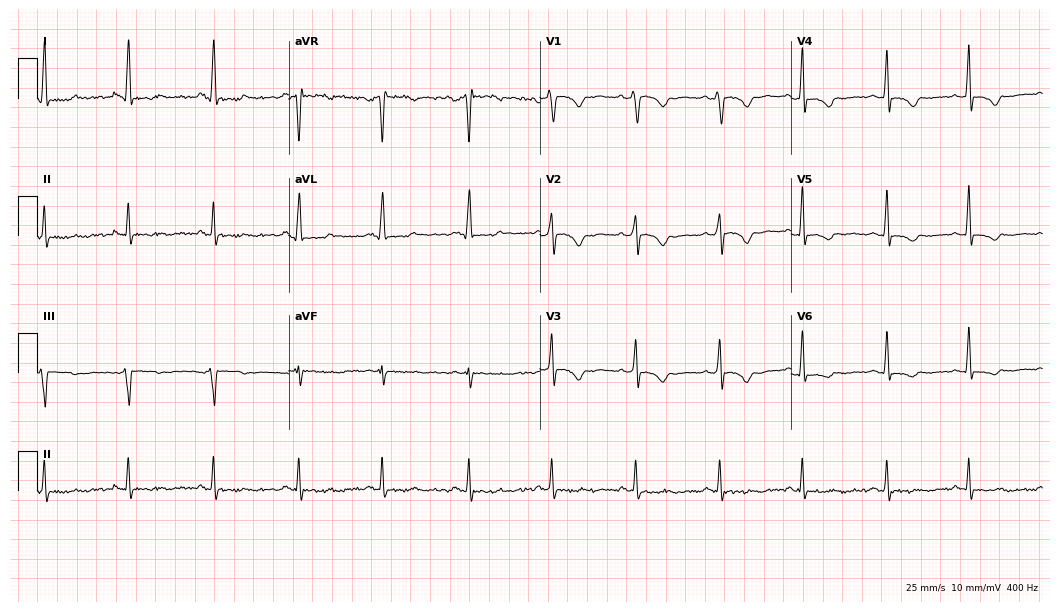
12-lead ECG from a woman, 37 years old. No first-degree AV block, right bundle branch block, left bundle branch block, sinus bradycardia, atrial fibrillation or sinus tachycardia recorded for this tracing.